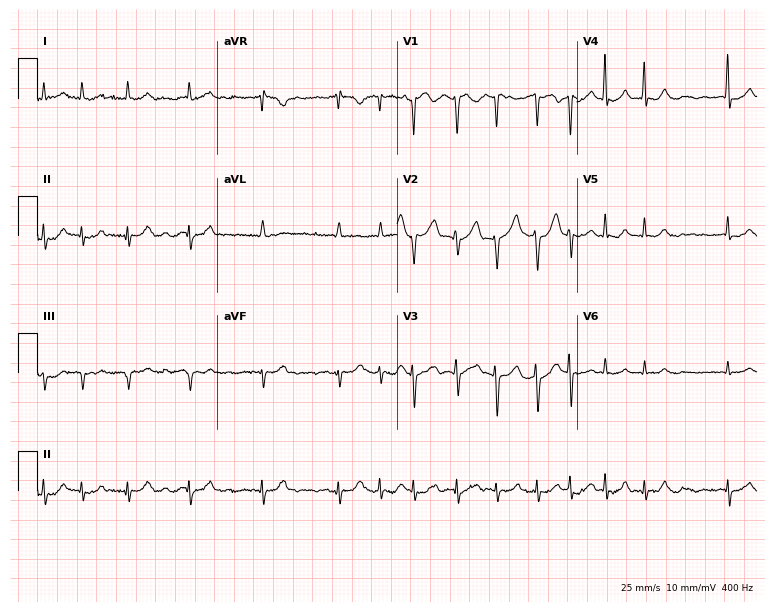
Resting 12-lead electrocardiogram. Patient: a 78-year-old woman. The tracing shows atrial fibrillation (AF).